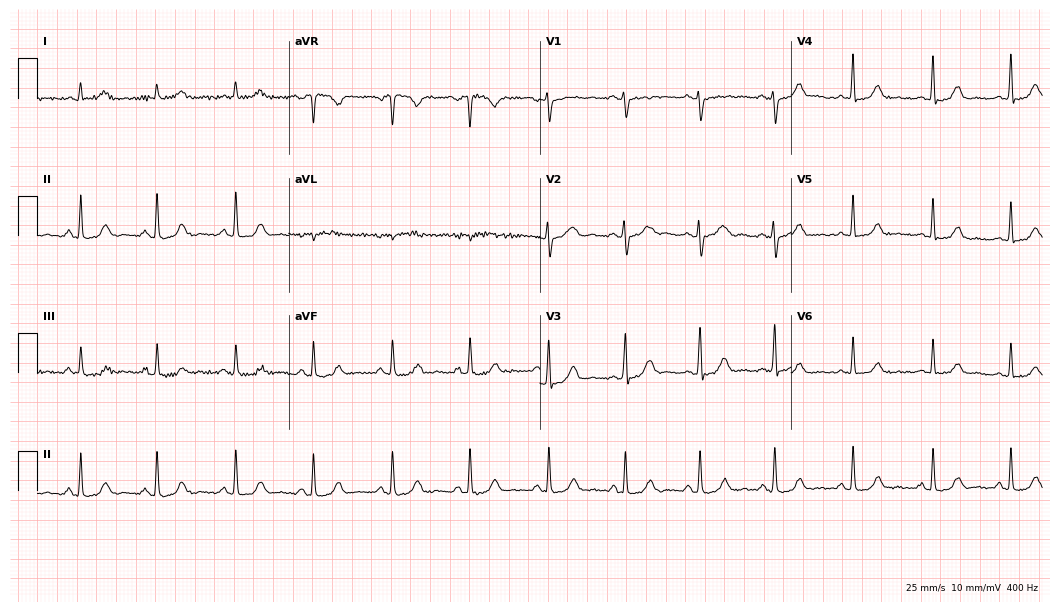
Standard 12-lead ECG recorded from a 43-year-old female patient. Read as a normal ECG.